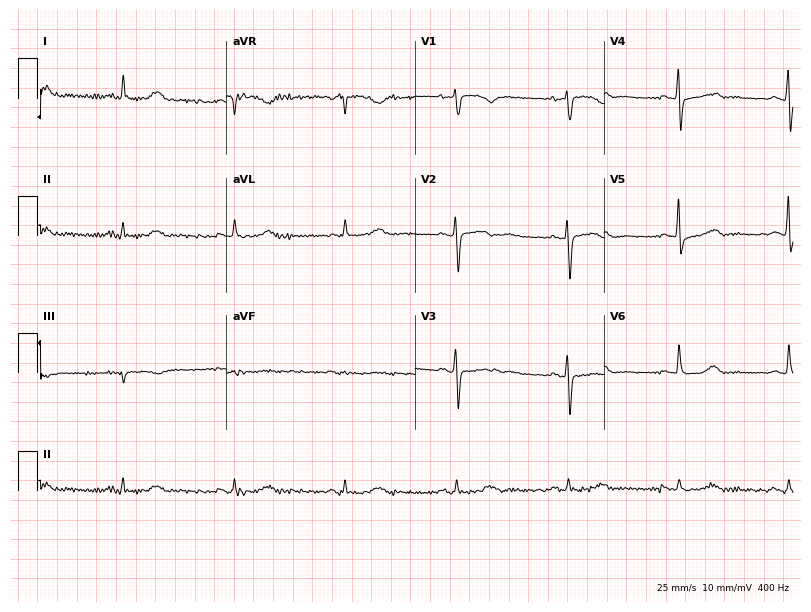
ECG (7.7-second recording at 400 Hz) — a 70-year-old woman. Labelled as a normal ECG.